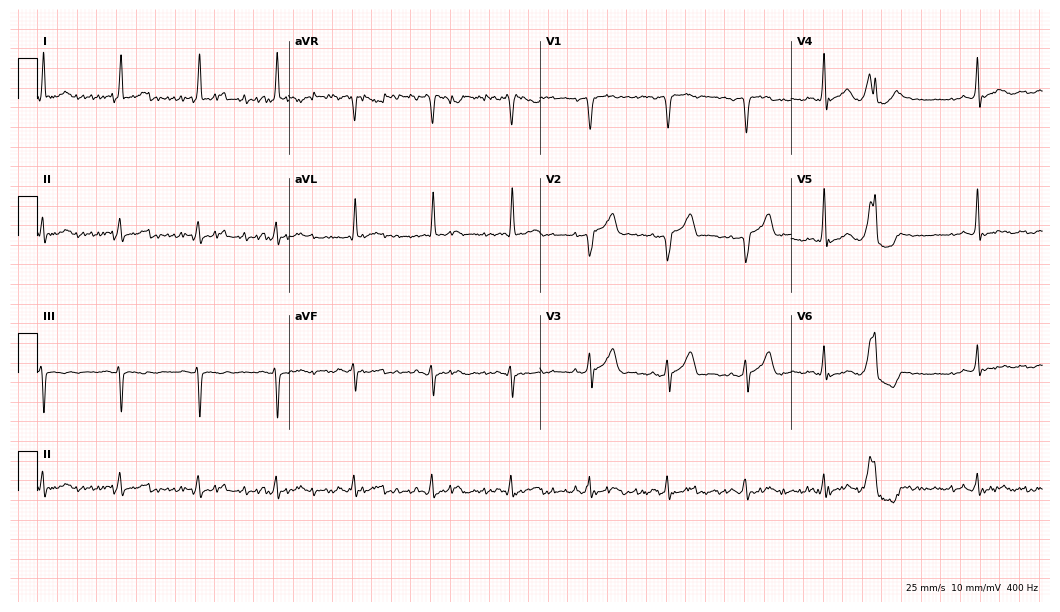
12-lead ECG from a man, 74 years old (10.2-second recording at 400 Hz). No first-degree AV block, right bundle branch block, left bundle branch block, sinus bradycardia, atrial fibrillation or sinus tachycardia recorded for this tracing.